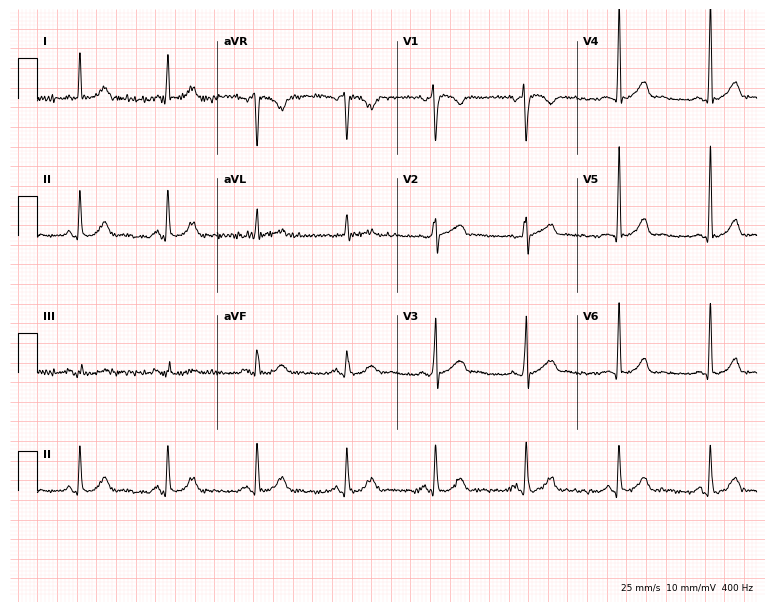
12-lead ECG from a 37-year-old male. Labelled as a normal ECG.